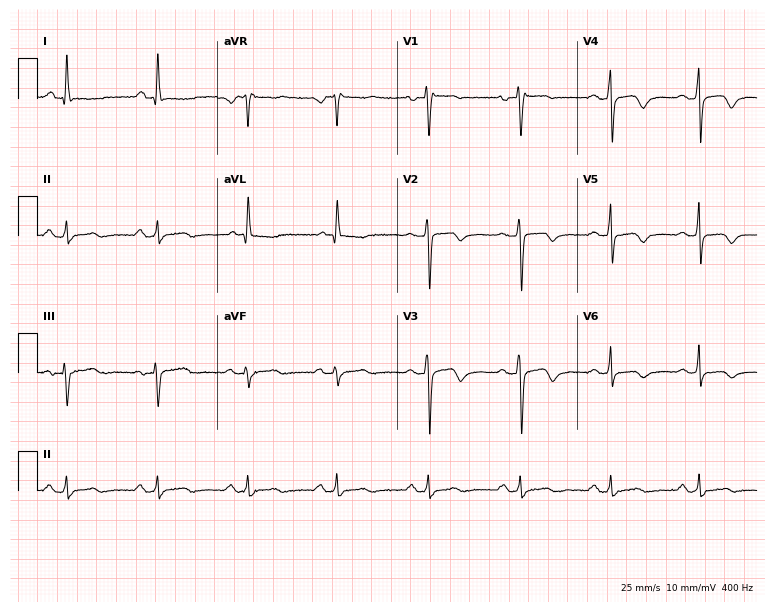
ECG (7.3-second recording at 400 Hz) — a female, 56 years old. Labelled as a normal ECG.